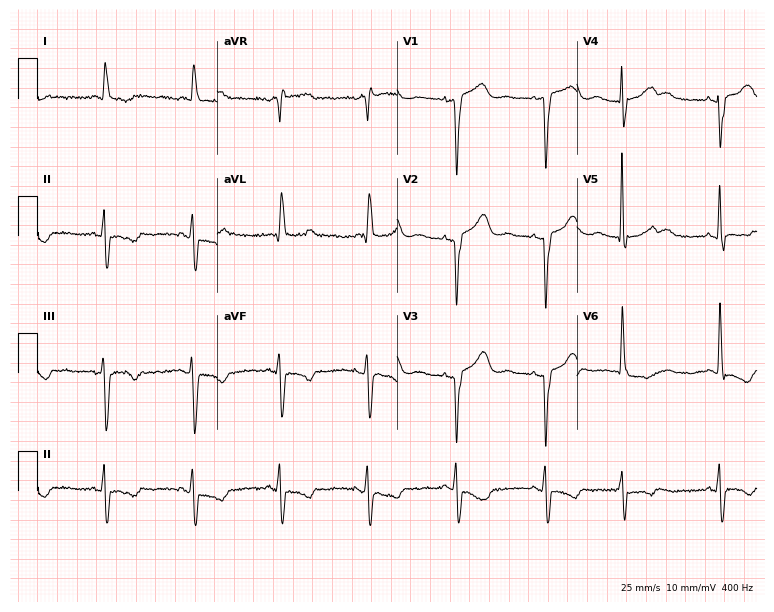
12-lead ECG from a 79-year-old female. No first-degree AV block, right bundle branch block, left bundle branch block, sinus bradycardia, atrial fibrillation or sinus tachycardia recorded for this tracing.